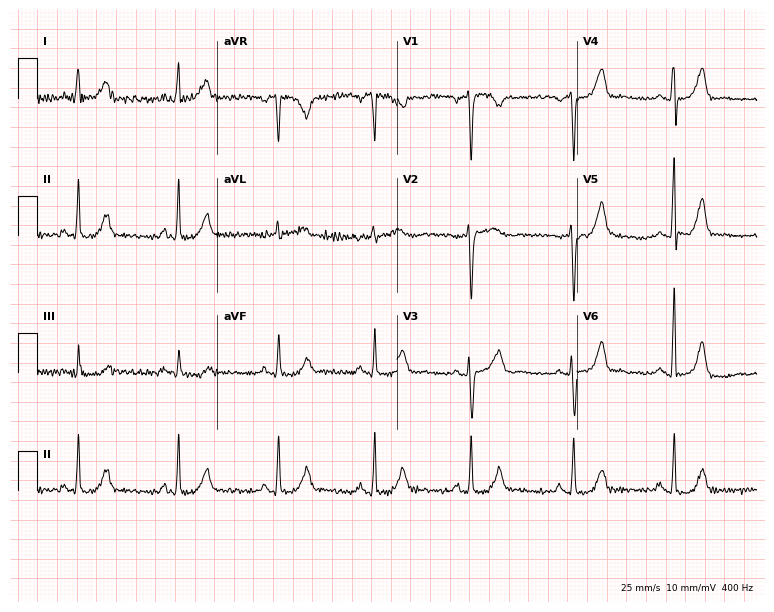
ECG — a 55-year-old female patient. Labelled as a normal ECG.